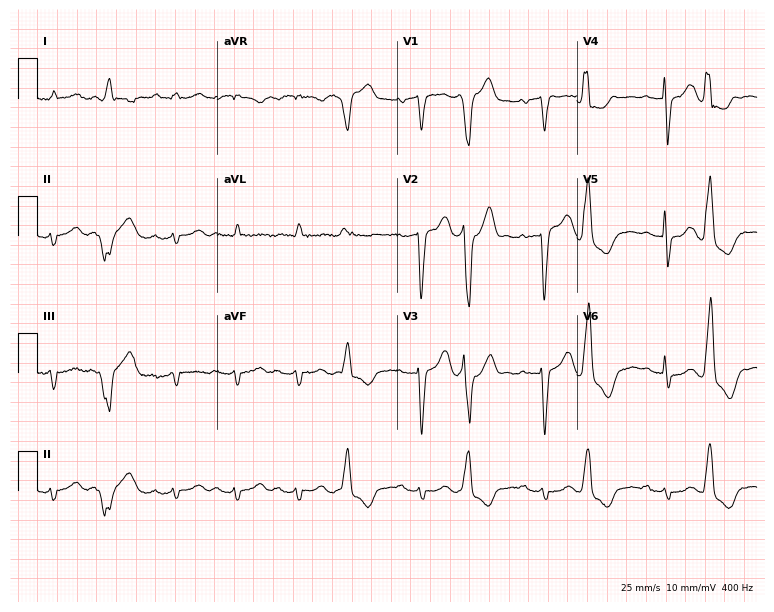
Resting 12-lead electrocardiogram. Patient: a 71-year-old male. The tracing shows first-degree AV block.